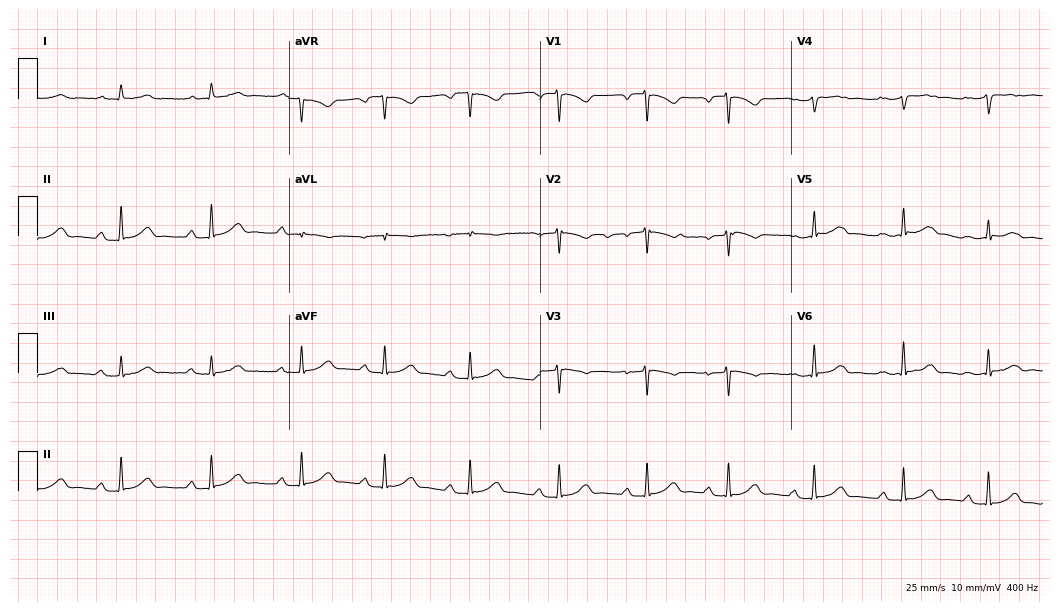
12-lead ECG from a 43-year-old female. Findings include first-degree AV block.